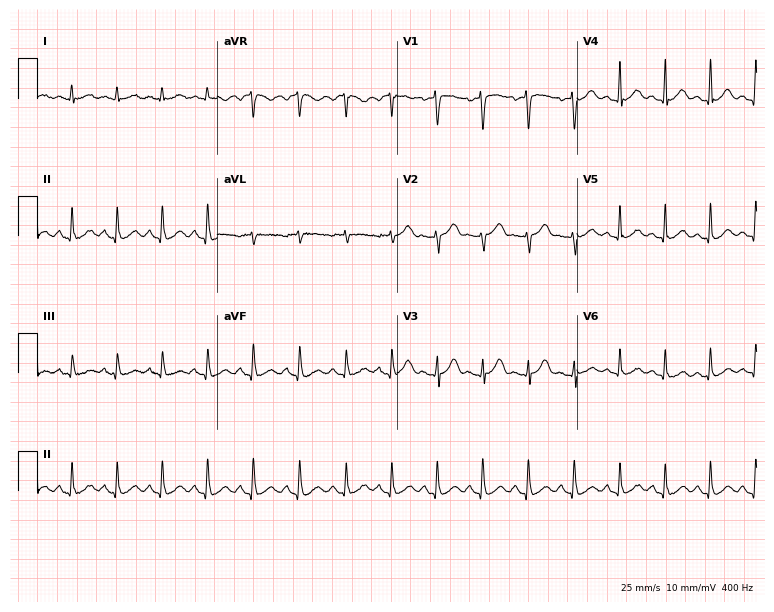
12-lead ECG from a female patient, 48 years old. Findings include sinus tachycardia (a sinus rate of 100 beats per minute or more).